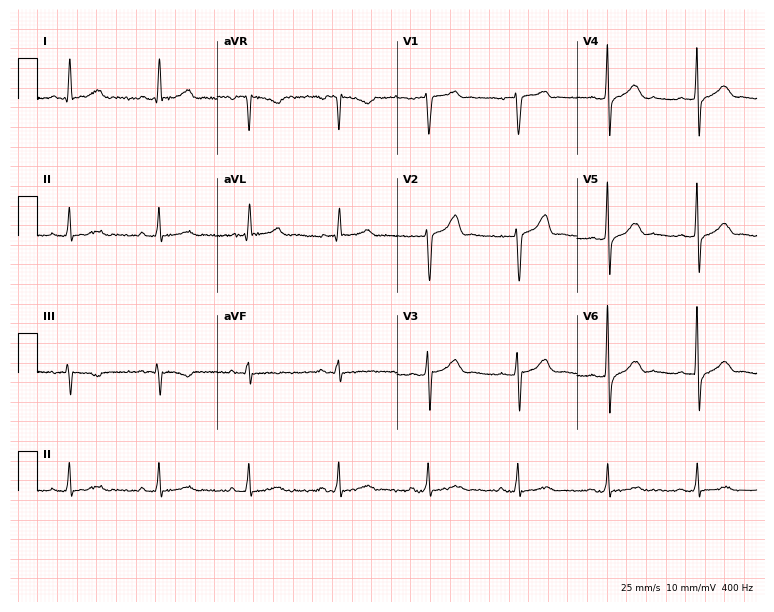
12-lead ECG from a male patient, 73 years old. Labelled as a normal ECG.